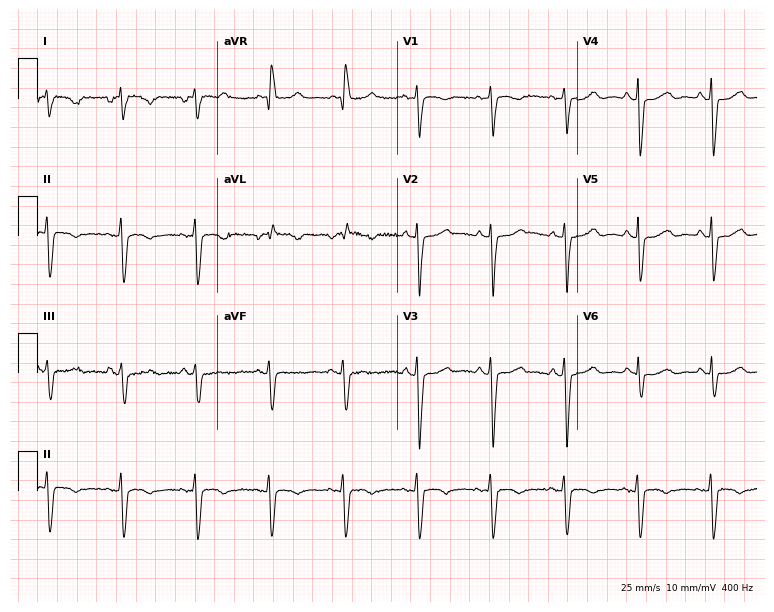
ECG — an 84-year-old female. Screened for six findings — first-degree AV block, right bundle branch block, left bundle branch block, sinus bradycardia, atrial fibrillation, sinus tachycardia — none is recorded. Only these six findings were labelled.